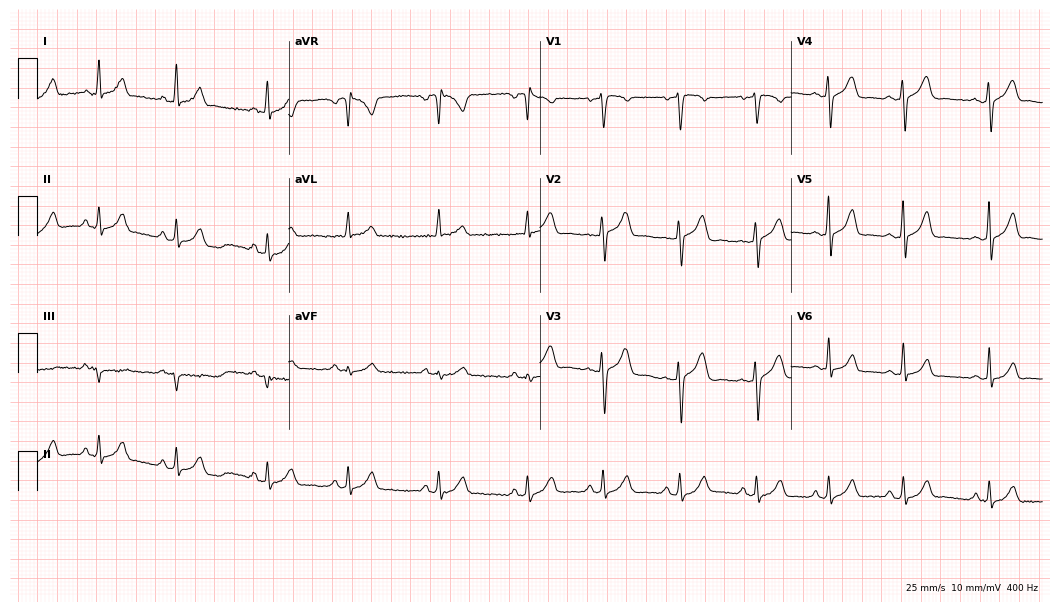
ECG — a 23-year-old female. Screened for six findings — first-degree AV block, right bundle branch block, left bundle branch block, sinus bradycardia, atrial fibrillation, sinus tachycardia — none is recorded. Other findings, if any, are not listed.